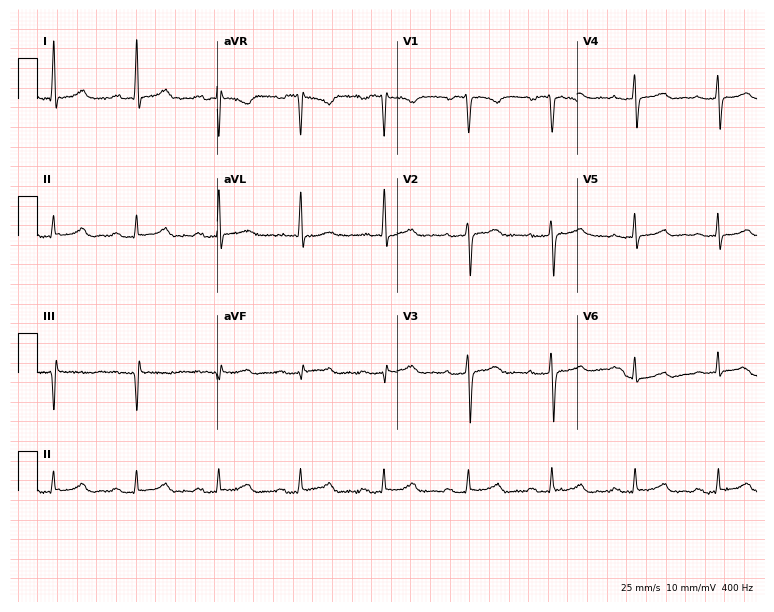
Electrocardiogram, a female, 60 years old. Overall reading on record: normal ECG.